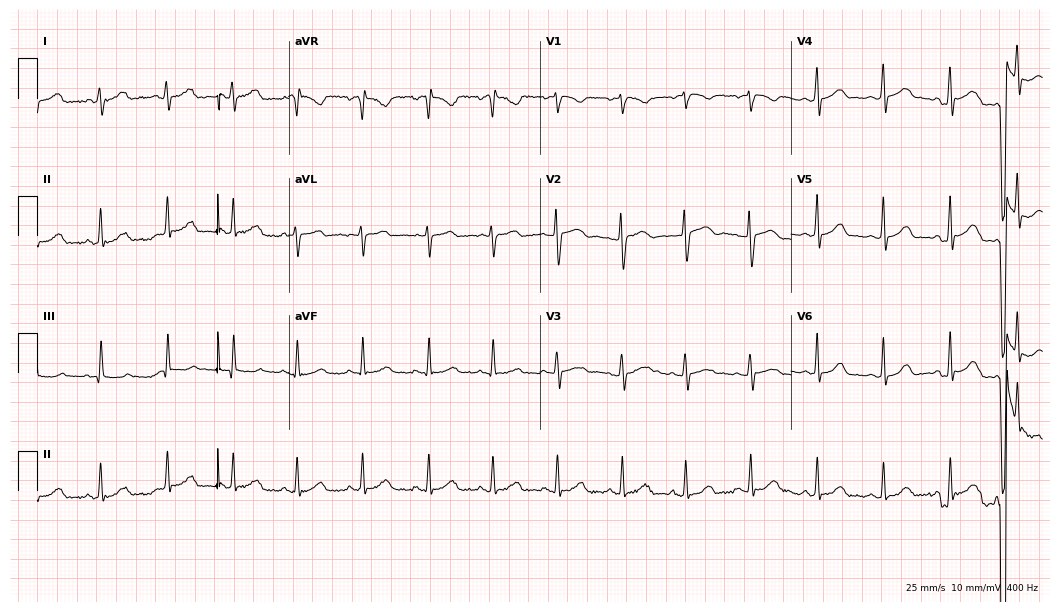
Standard 12-lead ECG recorded from a woman, 21 years old. Read as a normal ECG.